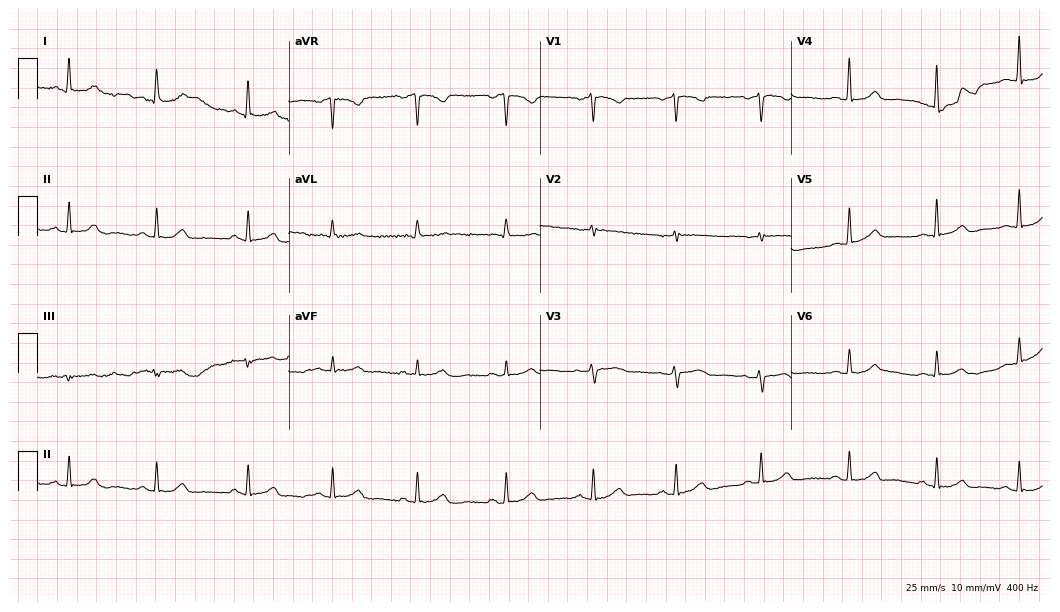
Standard 12-lead ECG recorded from a 50-year-old female patient (10.2-second recording at 400 Hz). None of these six findings is recorded: first-degree AV block, right bundle branch block (RBBB), left bundle branch block (LBBB), sinus bradycardia, atrial fibrillation (AF), sinus tachycardia.